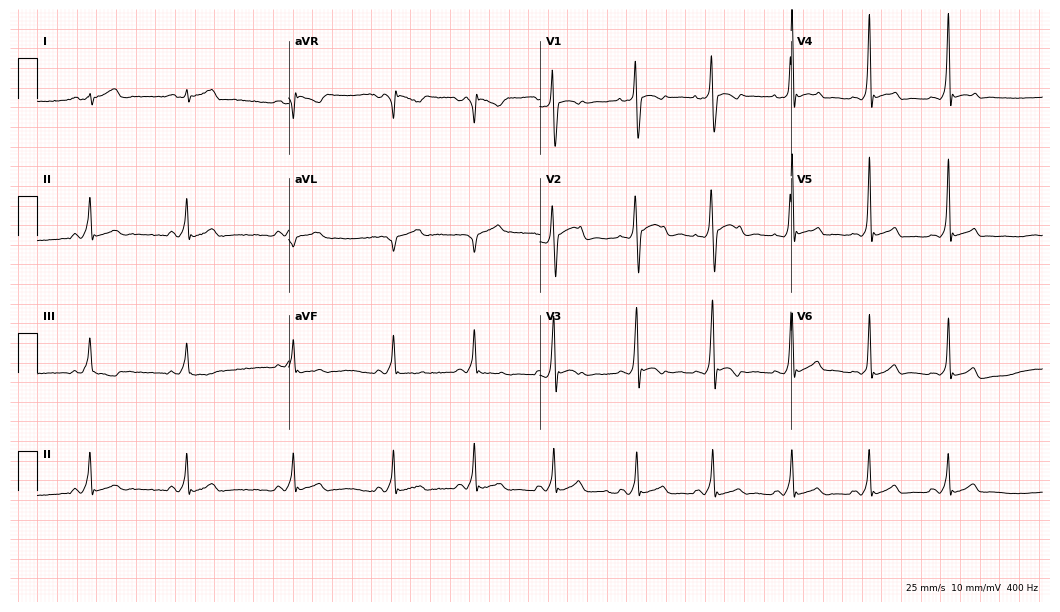
Resting 12-lead electrocardiogram. Patient: a 21-year-old male. None of these six findings is recorded: first-degree AV block, right bundle branch block, left bundle branch block, sinus bradycardia, atrial fibrillation, sinus tachycardia. Only these six findings were labelled.